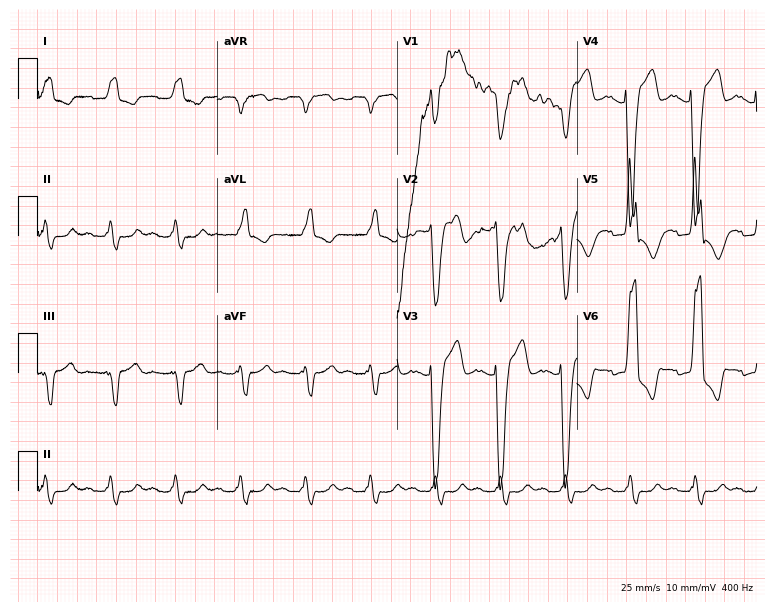
12-lead ECG from a man, 82 years old. No first-degree AV block, right bundle branch block, left bundle branch block, sinus bradycardia, atrial fibrillation or sinus tachycardia recorded for this tracing. Findings outside these six are not listed.